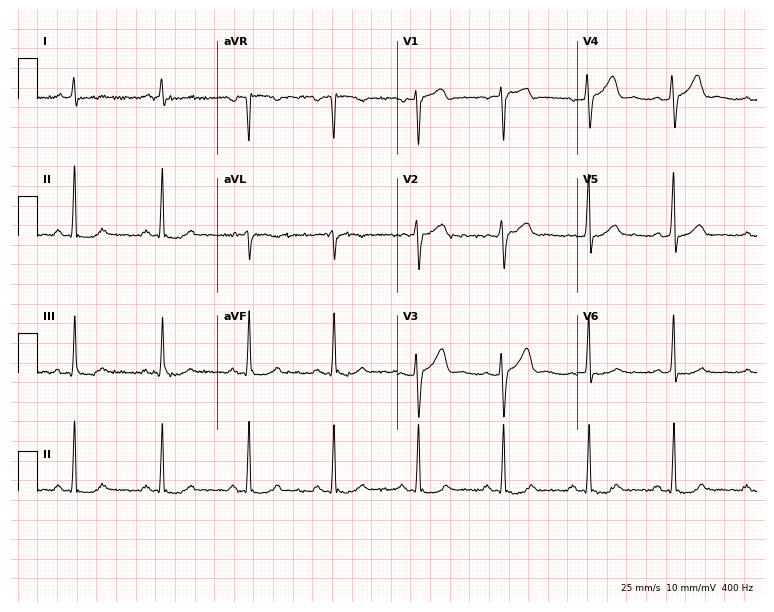
12-lead ECG from a male patient, 61 years old. Recorded interpretation: within normal limits.